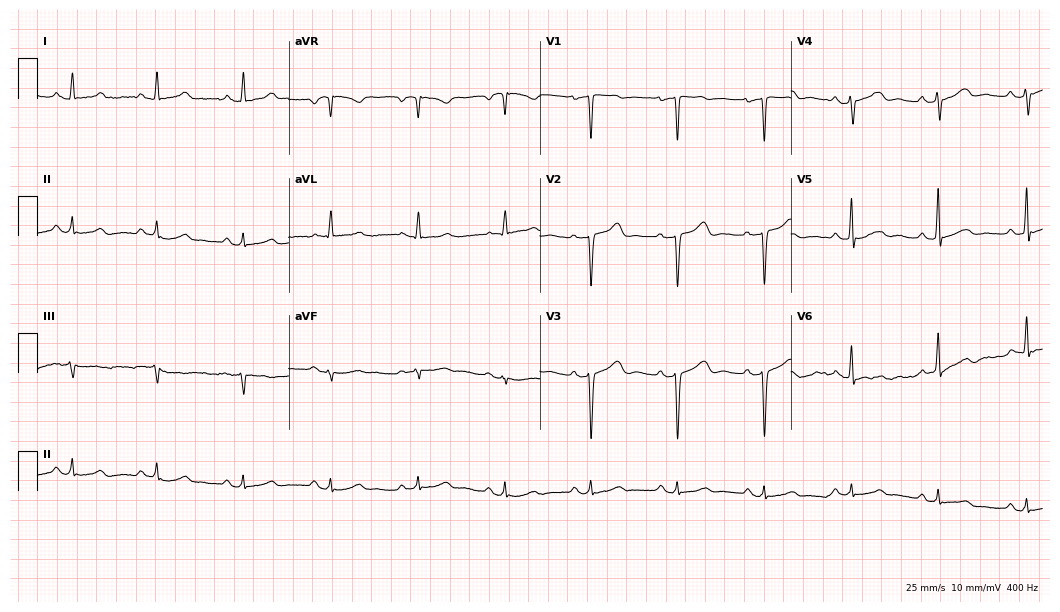
12-lead ECG from a 66-year-old woman. Recorded interpretation: within normal limits.